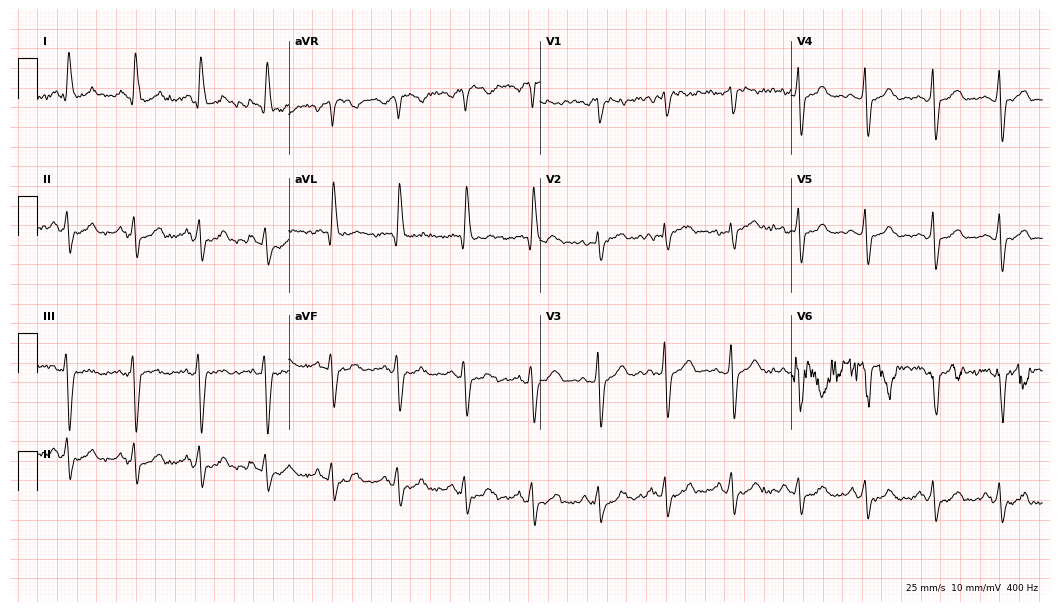
Electrocardiogram, a 46-year-old female patient. Of the six screened findings (first-degree AV block, right bundle branch block, left bundle branch block, sinus bradycardia, atrial fibrillation, sinus tachycardia), none is recorded.